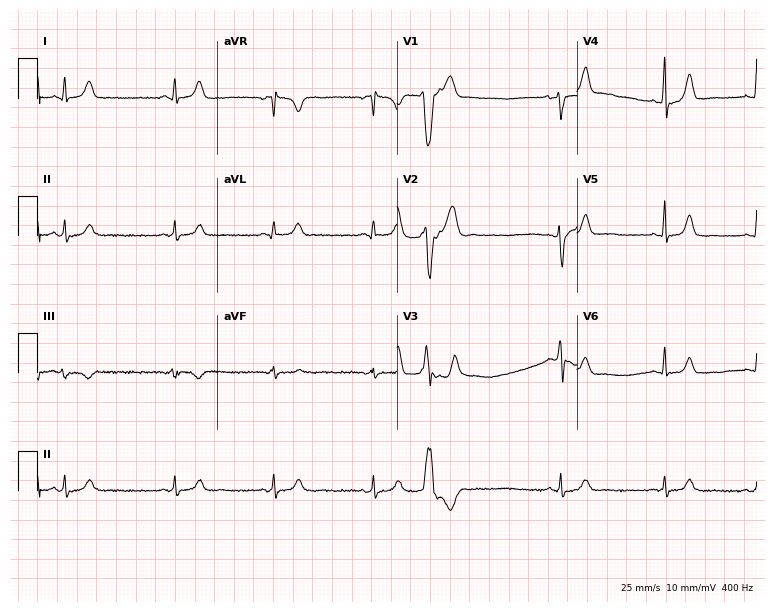
ECG — a female, 32 years old. Screened for six findings — first-degree AV block, right bundle branch block (RBBB), left bundle branch block (LBBB), sinus bradycardia, atrial fibrillation (AF), sinus tachycardia — none is recorded. Only these six findings were labelled.